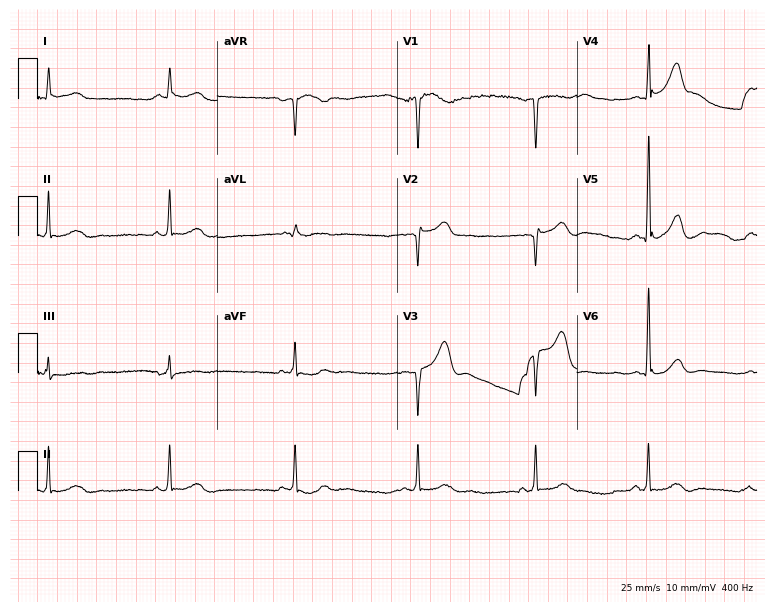
Resting 12-lead electrocardiogram (7.3-second recording at 400 Hz). Patient: a male, 65 years old. The tracing shows sinus bradycardia (a sinus rate of 50 beats per minute or less).